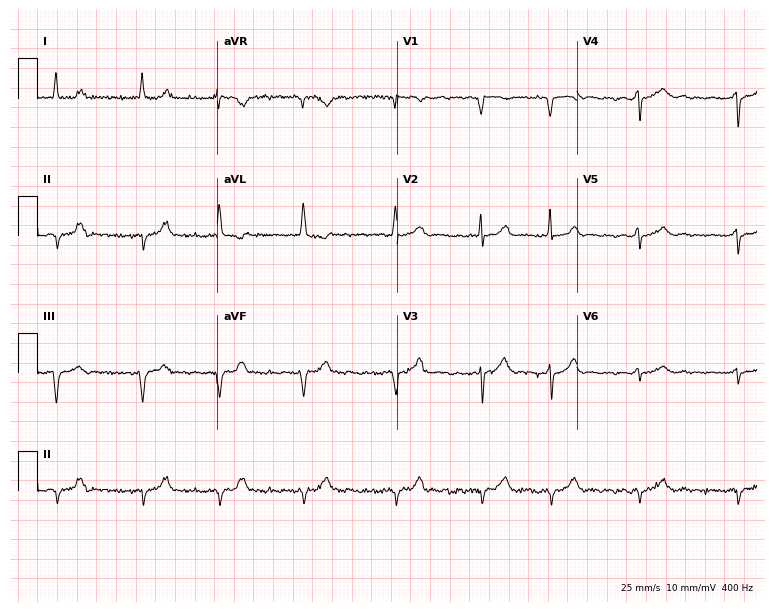
ECG (7.3-second recording at 400 Hz) — a 73-year-old man. Findings include atrial fibrillation.